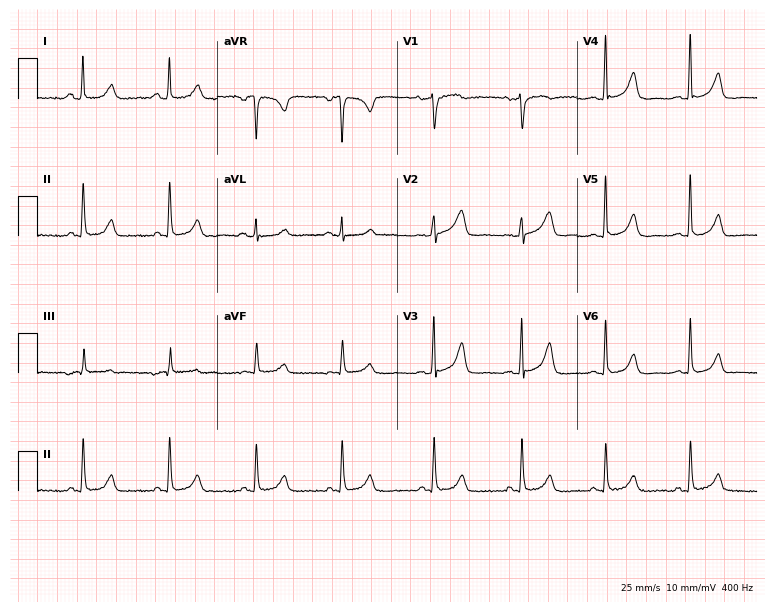
Electrocardiogram (7.3-second recording at 400 Hz), a 65-year-old female patient. Overall reading on record: normal ECG.